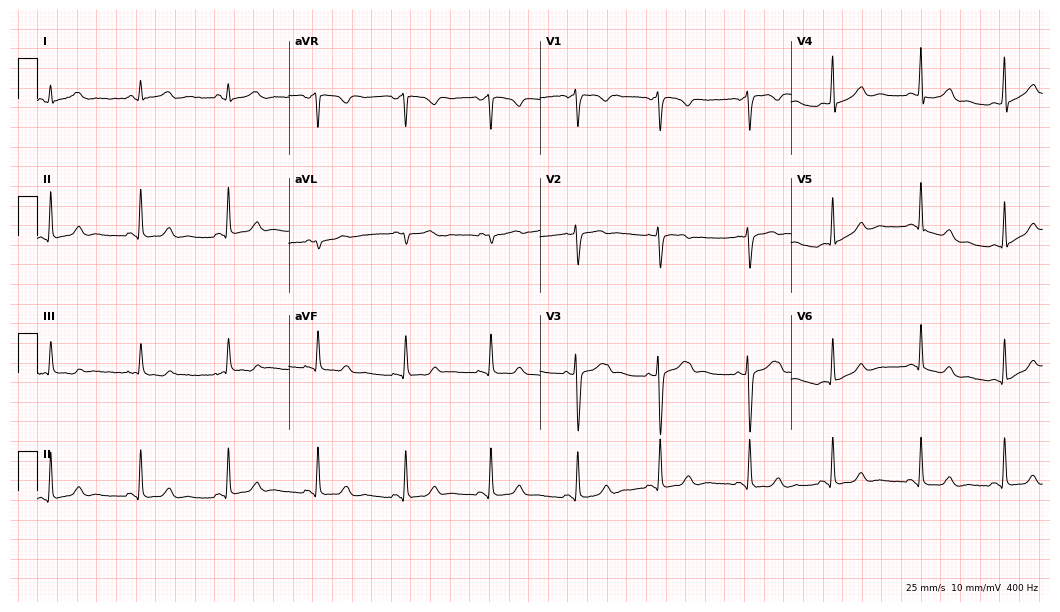
ECG (10.2-second recording at 400 Hz) — a 28-year-old female. Labelled as a normal ECG.